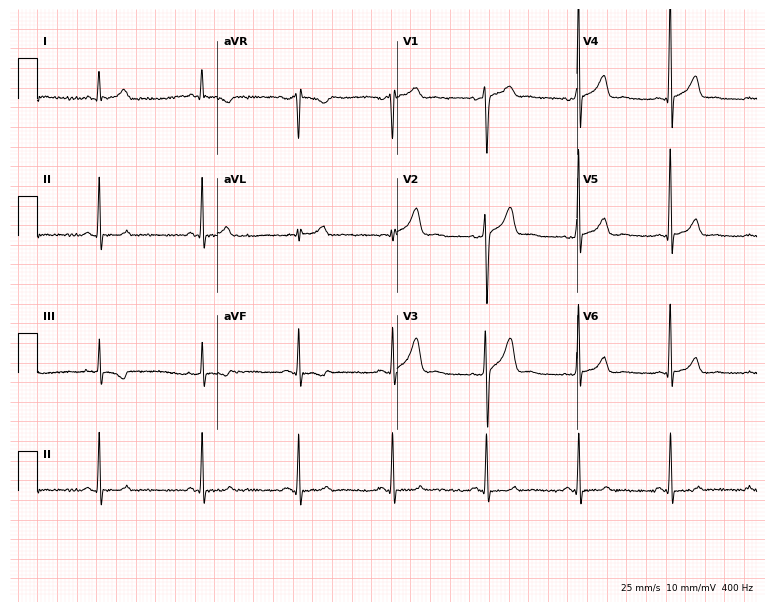
12-lead ECG from a male patient, 36 years old. Recorded interpretation: within normal limits.